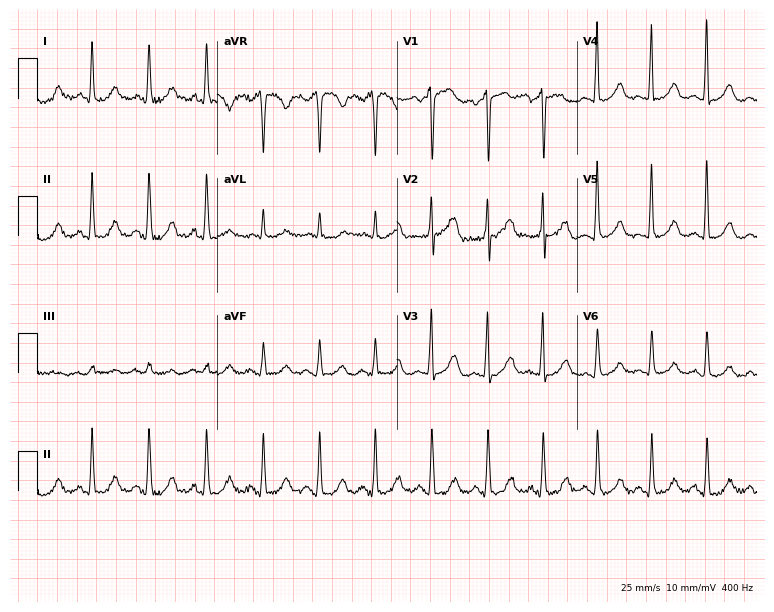
Electrocardiogram, a female, 66 years old. Interpretation includes sinus tachycardia (a sinus rate of 100 beats per minute or more).